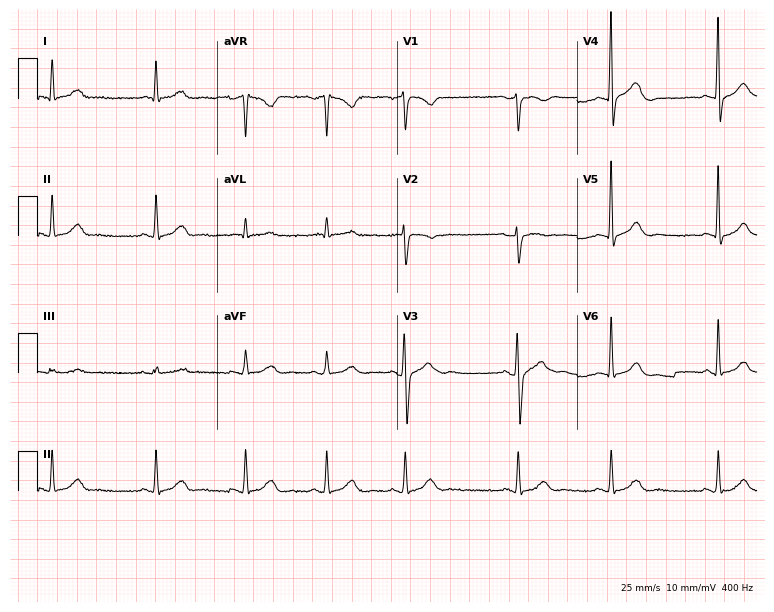
Electrocardiogram (7.3-second recording at 400 Hz), a 31-year-old male patient. Overall reading on record: normal ECG.